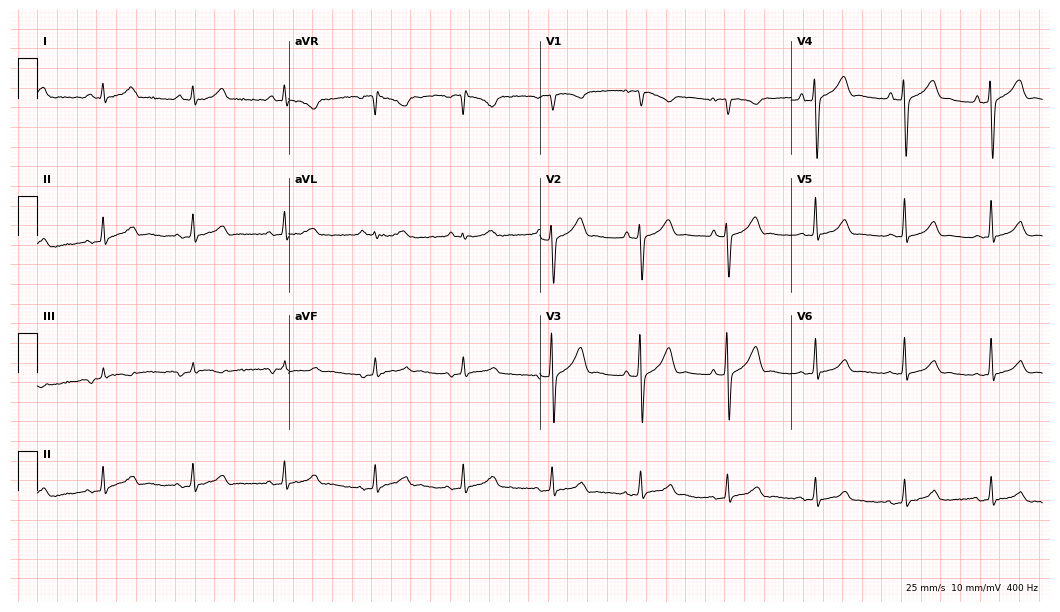
Resting 12-lead electrocardiogram. Patient: a 68-year-old male. Read as a normal ECG.